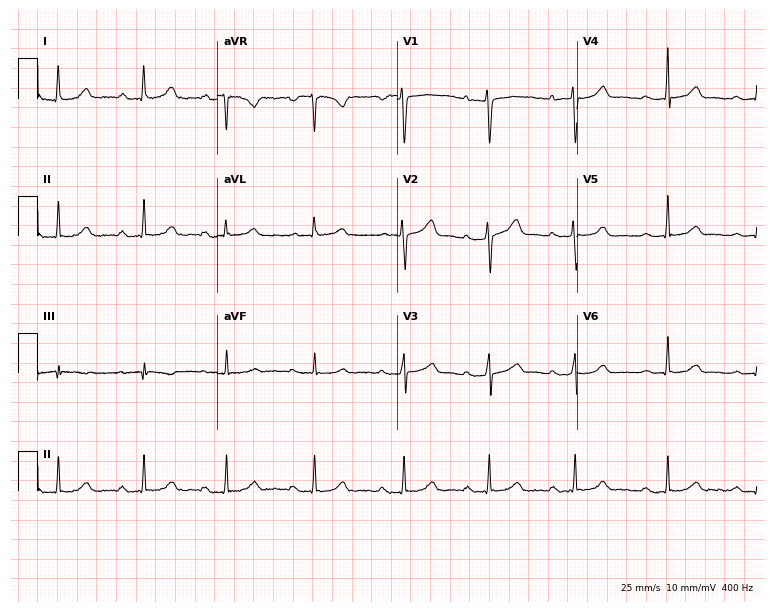
ECG (7.3-second recording at 400 Hz) — a 39-year-old female. Findings include first-degree AV block.